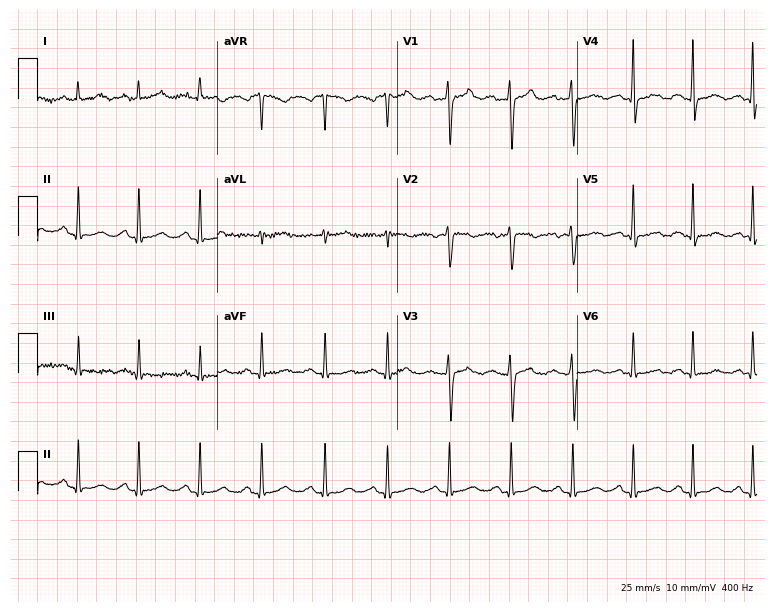
Electrocardiogram, a female patient, 52 years old. Overall reading on record: normal ECG.